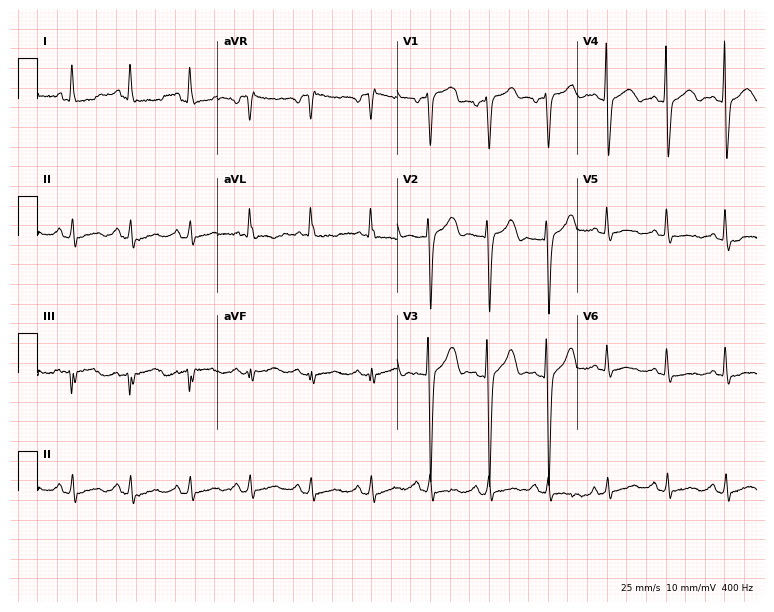
12-lead ECG from a 68-year-old female (7.3-second recording at 400 Hz). No first-degree AV block, right bundle branch block, left bundle branch block, sinus bradycardia, atrial fibrillation or sinus tachycardia recorded for this tracing.